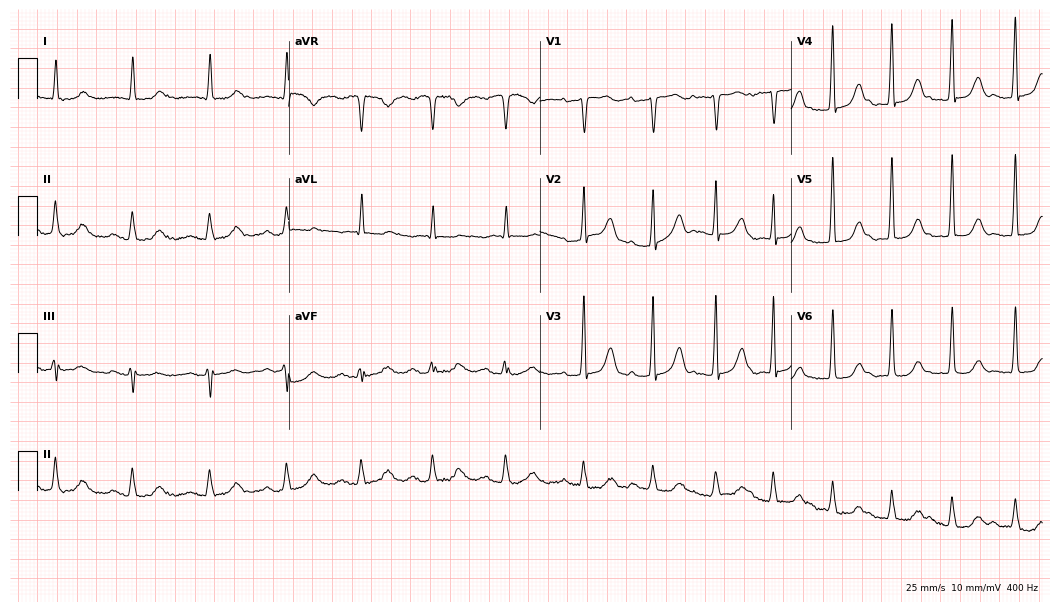
Resting 12-lead electrocardiogram (10.2-second recording at 400 Hz). Patient: an 85-year-old woman. None of these six findings is recorded: first-degree AV block, right bundle branch block, left bundle branch block, sinus bradycardia, atrial fibrillation, sinus tachycardia. Findings outside these six are not listed.